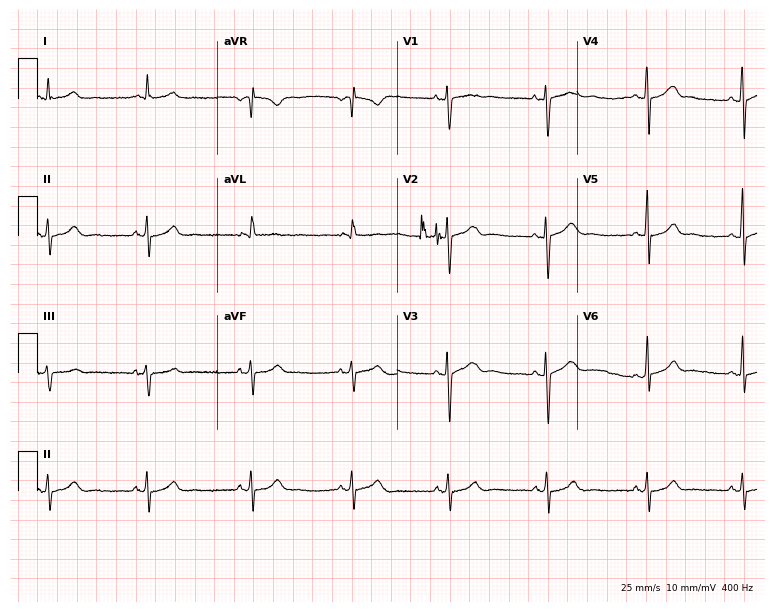
Resting 12-lead electrocardiogram. Patient: a 24-year-old female. Read as a normal ECG.